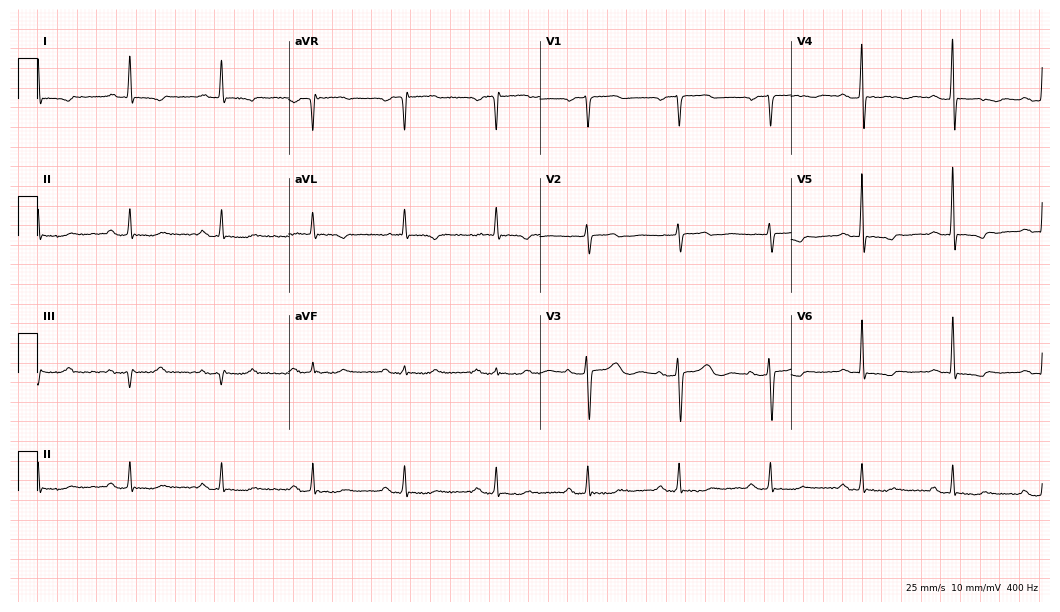
12-lead ECG from a 74-year-old female. Shows first-degree AV block.